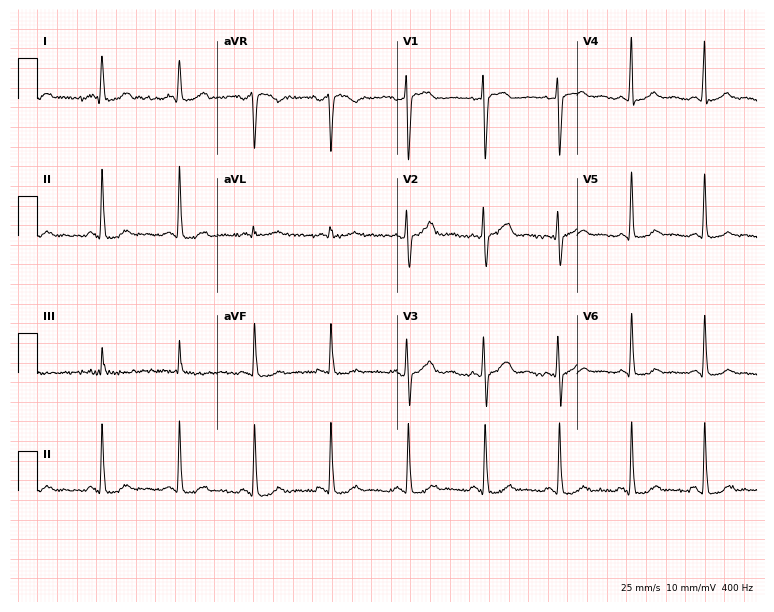
Standard 12-lead ECG recorded from a 36-year-old female patient. Read as a normal ECG.